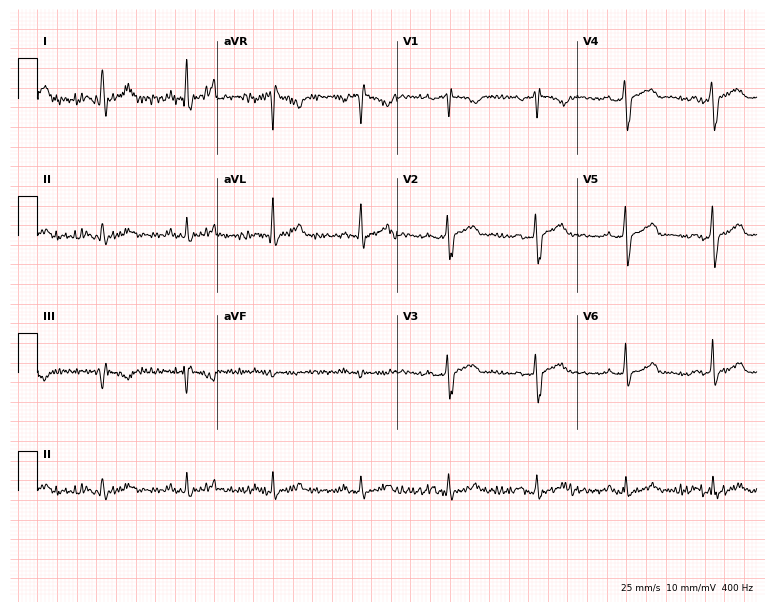
12-lead ECG (7.3-second recording at 400 Hz) from a 60-year-old male patient. Labelled as a normal ECG.